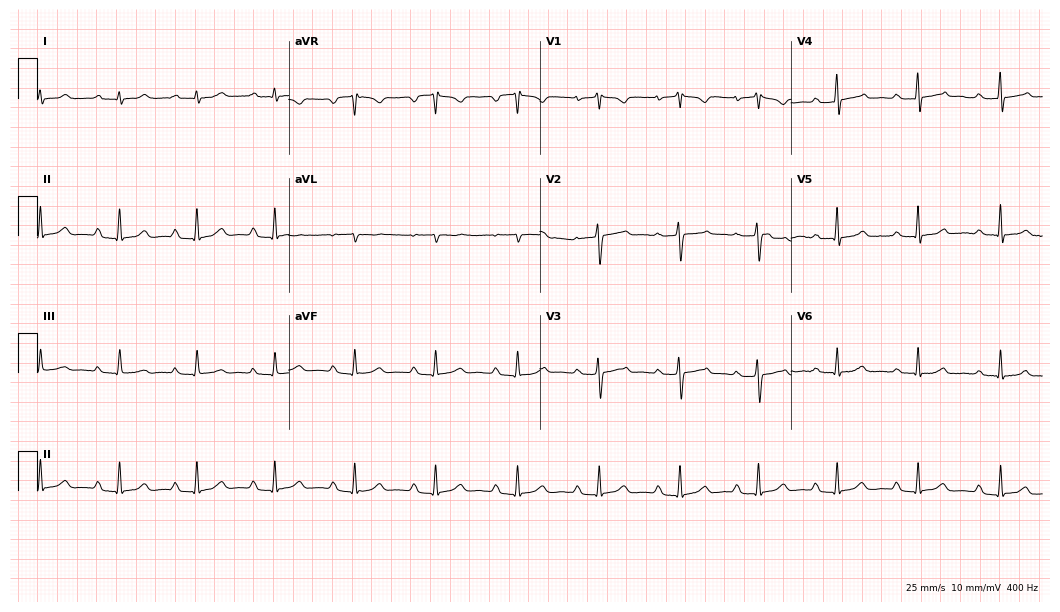
12-lead ECG from a 43-year-old female (10.2-second recording at 400 Hz). Shows first-degree AV block.